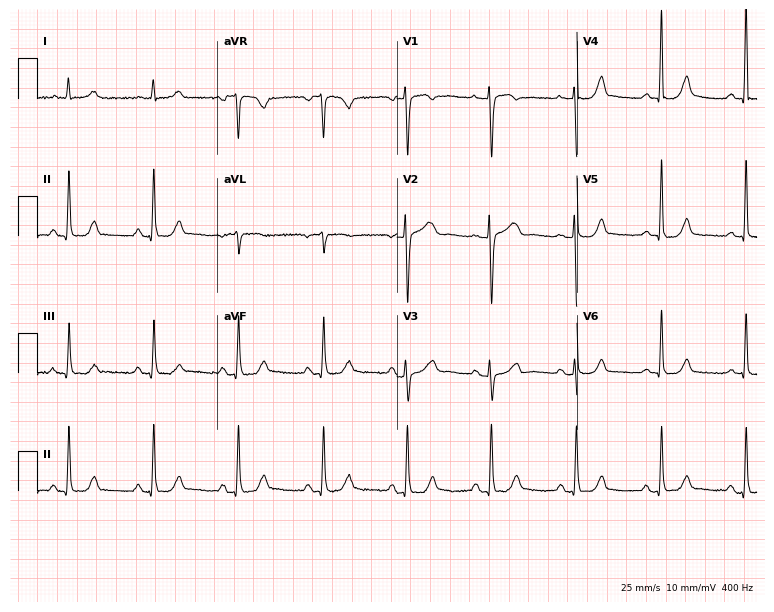
Resting 12-lead electrocardiogram (7.3-second recording at 400 Hz). Patient: a female, 80 years old. Read as a normal ECG.